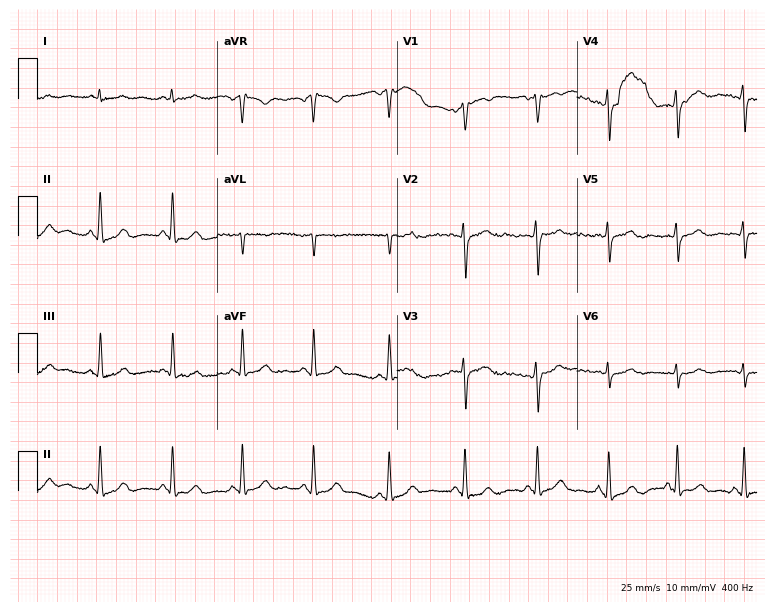
Electrocardiogram (7.3-second recording at 400 Hz), a female, 37 years old. Of the six screened findings (first-degree AV block, right bundle branch block, left bundle branch block, sinus bradycardia, atrial fibrillation, sinus tachycardia), none is recorded. Findings outside these six are not listed.